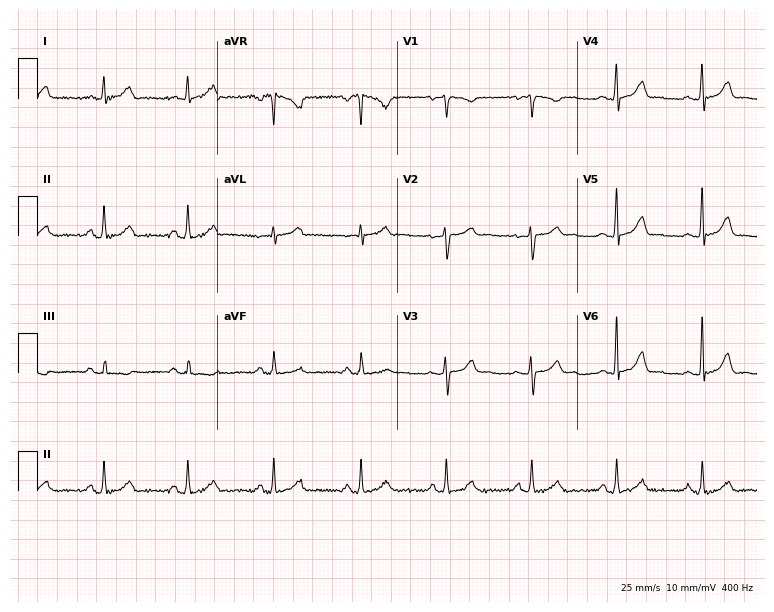
ECG (7.3-second recording at 400 Hz) — a woman, 42 years old. Labelled as a normal ECG.